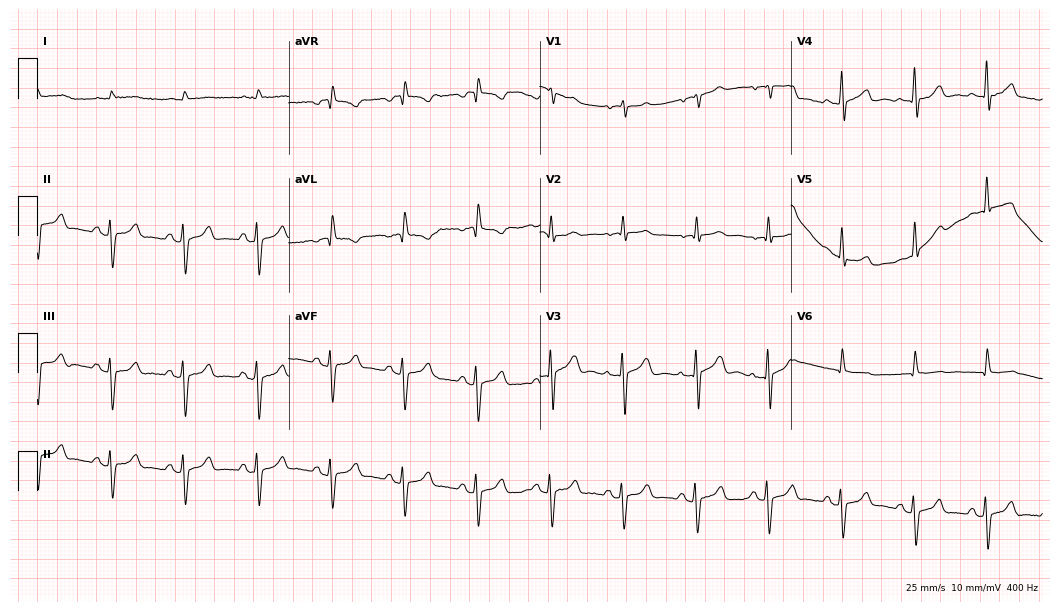
Resting 12-lead electrocardiogram. Patient: an 83-year-old male. None of these six findings is recorded: first-degree AV block, right bundle branch block, left bundle branch block, sinus bradycardia, atrial fibrillation, sinus tachycardia.